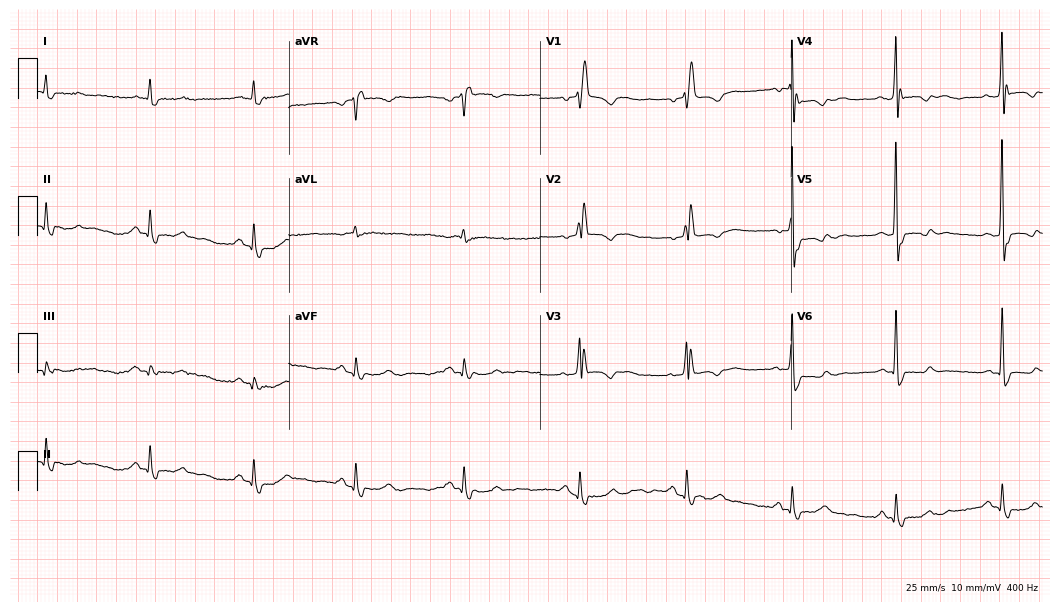
Standard 12-lead ECG recorded from a male patient, 65 years old. None of these six findings is recorded: first-degree AV block, right bundle branch block (RBBB), left bundle branch block (LBBB), sinus bradycardia, atrial fibrillation (AF), sinus tachycardia.